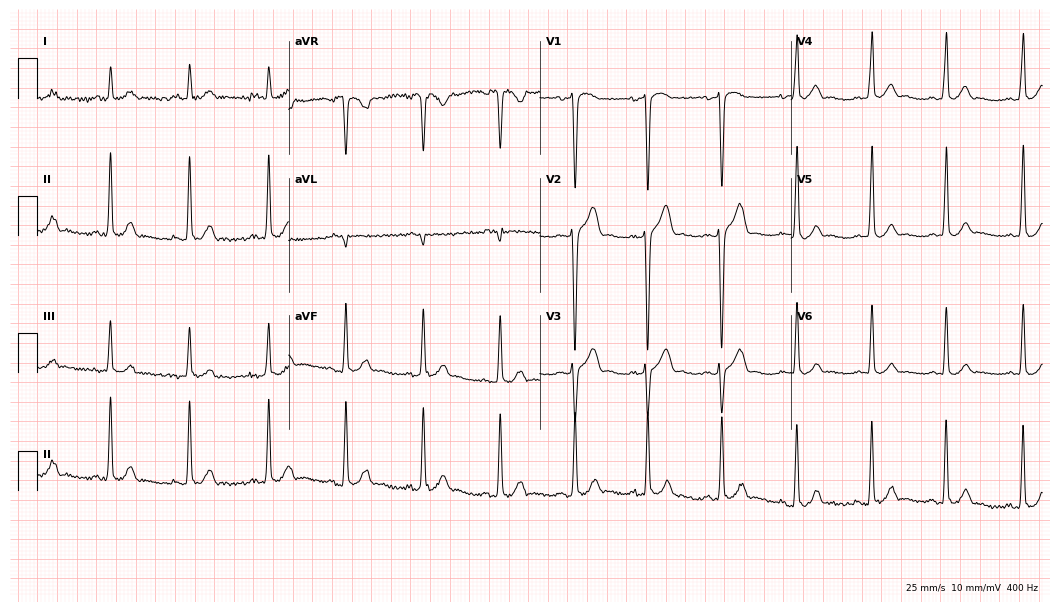
Electrocardiogram, a 24-year-old male. Overall reading on record: normal ECG.